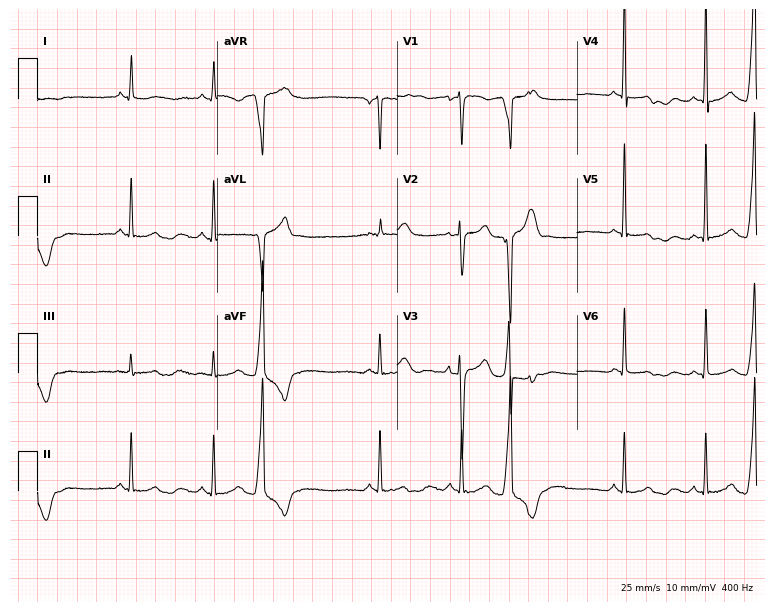
ECG (7.3-second recording at 400 Hz) — a 61-year-old woman. Screened for six findings — first-degree AV block, right bundle branch block, left bundle branch block, sinus bradycardia, atrial fibrillation, sinus tachycardia — none is recorded. Other findings, if any, are not listed.